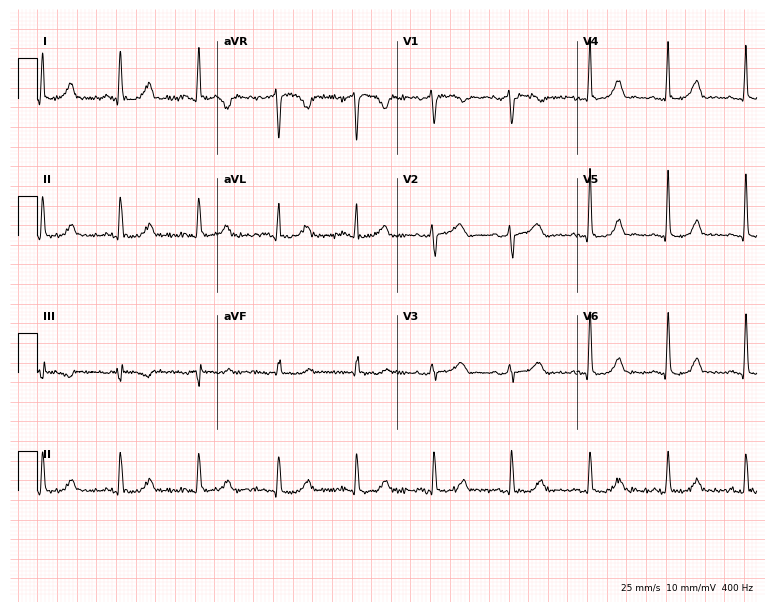
12-lead ECG from a 53-year-old female patient. Recorded interpretation: within normal limits.